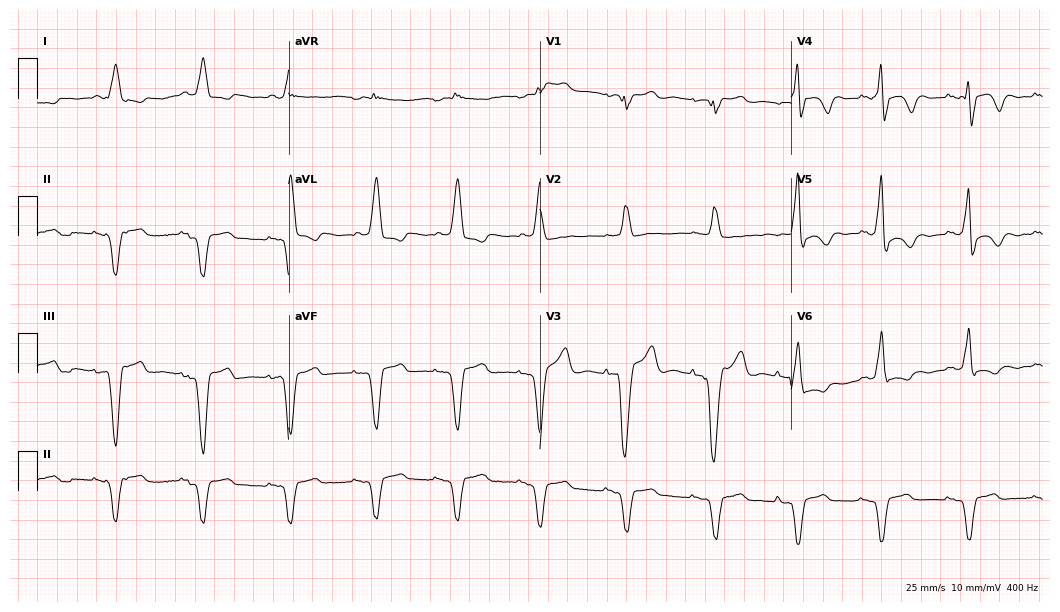
12-lead ECG from a 79-year-old man. No first-degree AV block, right bundle branch block, left bundle branch block, sinus bradycardia, atrial fibrillation or sinus tachycardia recorded for this tracing.